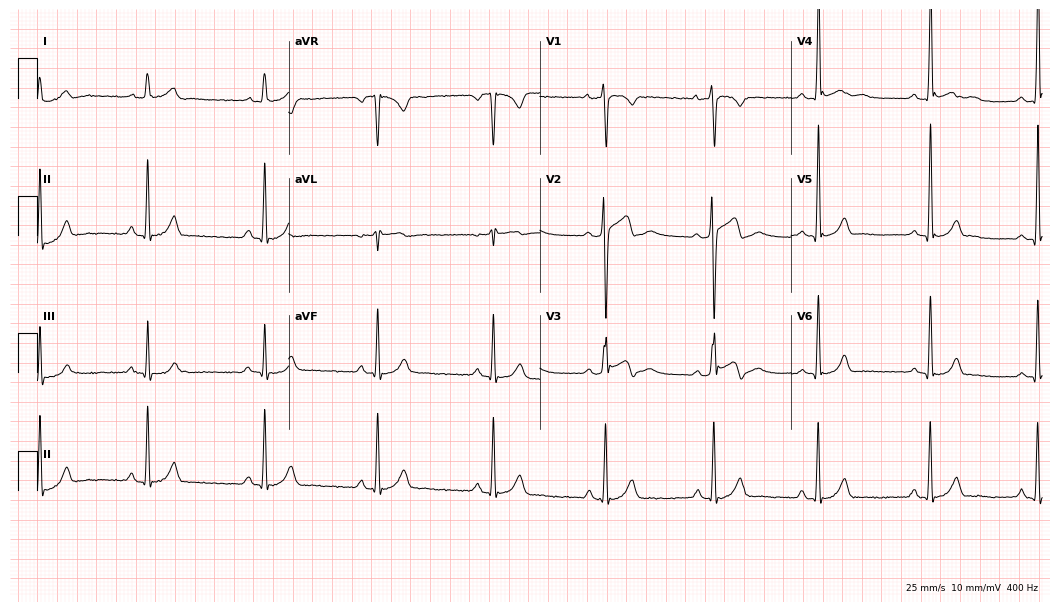
Electrocardiogram (10.2-second recording at 400 Hz), a 25-year-old man. Overall reading on record: normal ECG.